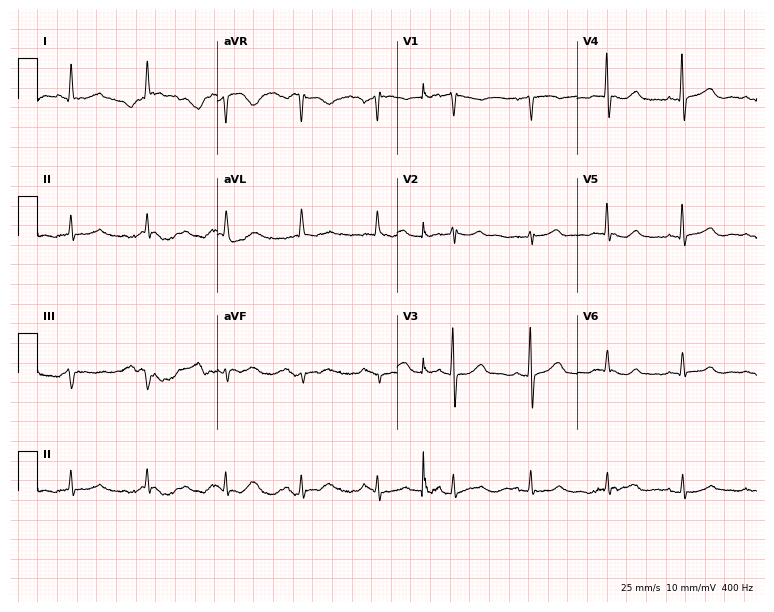
Electrocardiogram, an 82-year-old female. Overall reading on record: normal ECG.